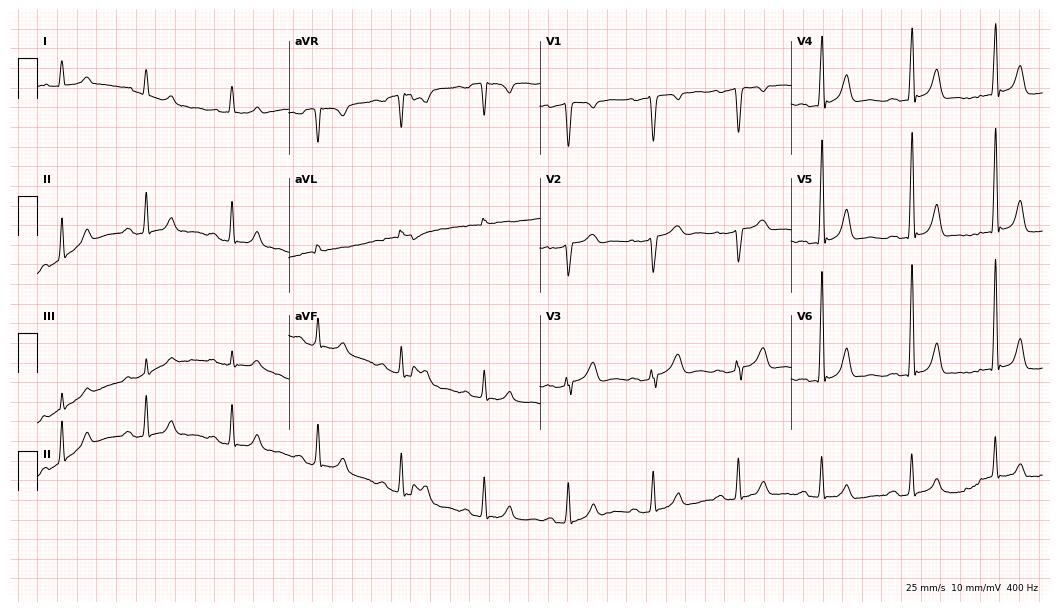
ECG (10.2-second recording at 400 Hz) — a male patient, 66 years old. Labelled as a normal ECG.